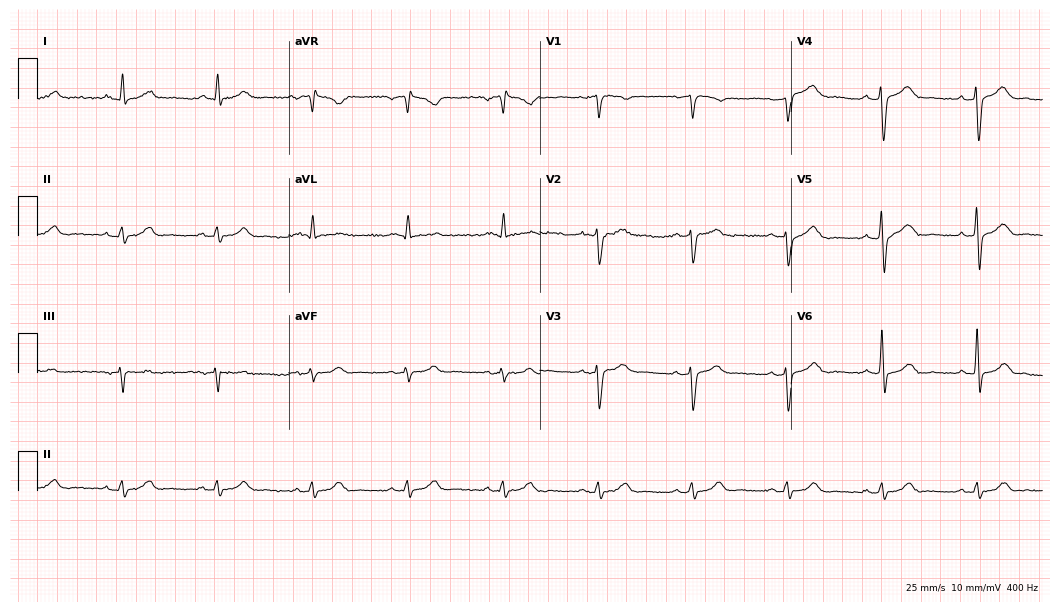
Resting 12-lead electrocardiogram (10.2-second recording at 400 Hz). Patient: a 52-year-old male. Read as a normal ECG.